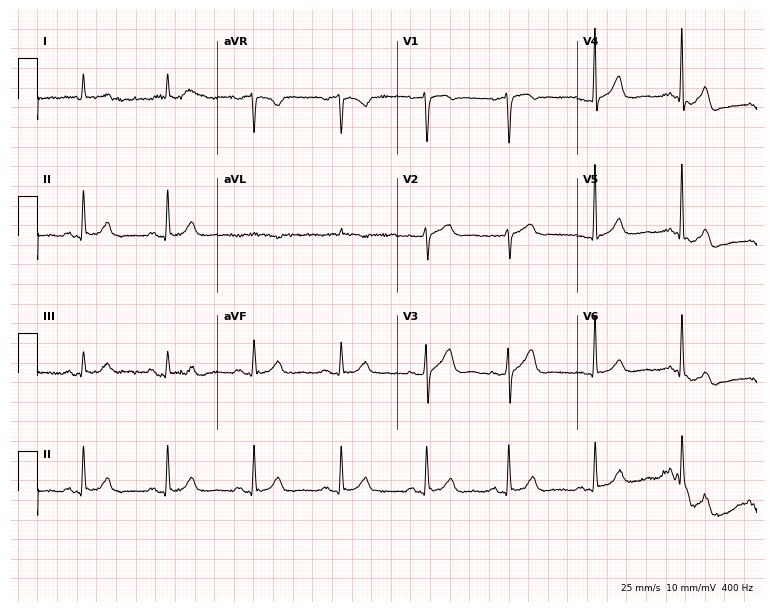
Standard 12-lead ECG recorded from a 73-year-old man. Read as a normal ECG.